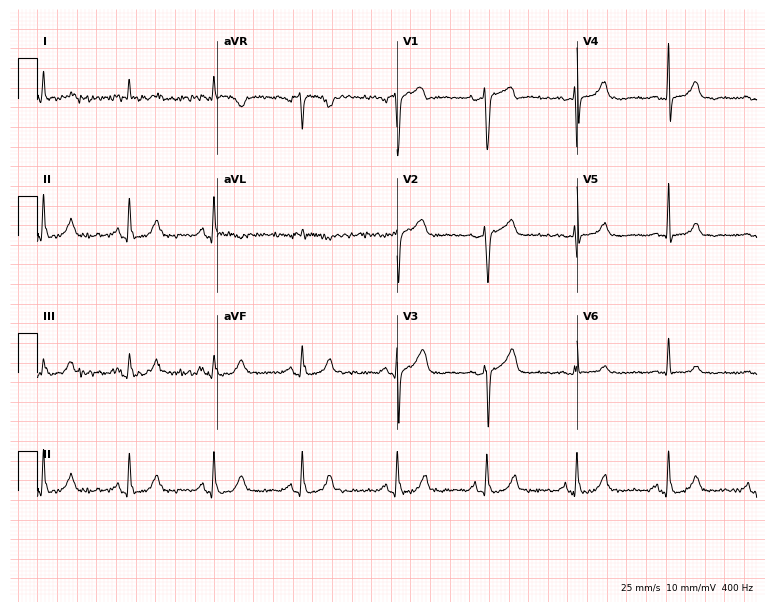
Standard 12-lead ECG recorded from a man, 53 years old (7.3-second recording at 400 Hz). Read as a normal ECG.